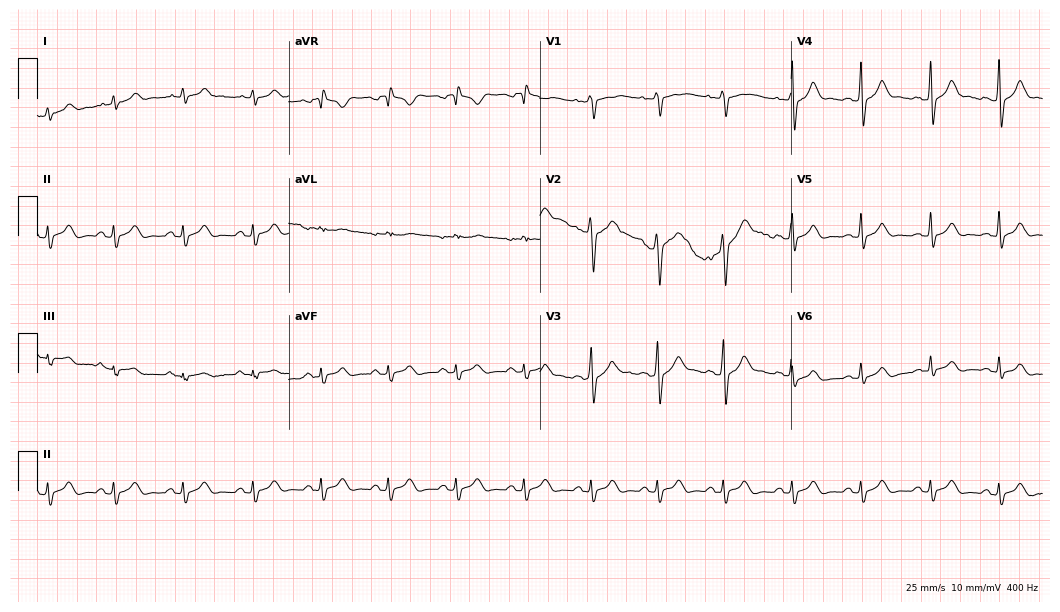
Standard 12-lead ECG recorded from a male patient, 27 years old (10.2-second recording at 400 Hz). Read as a normal ECG.